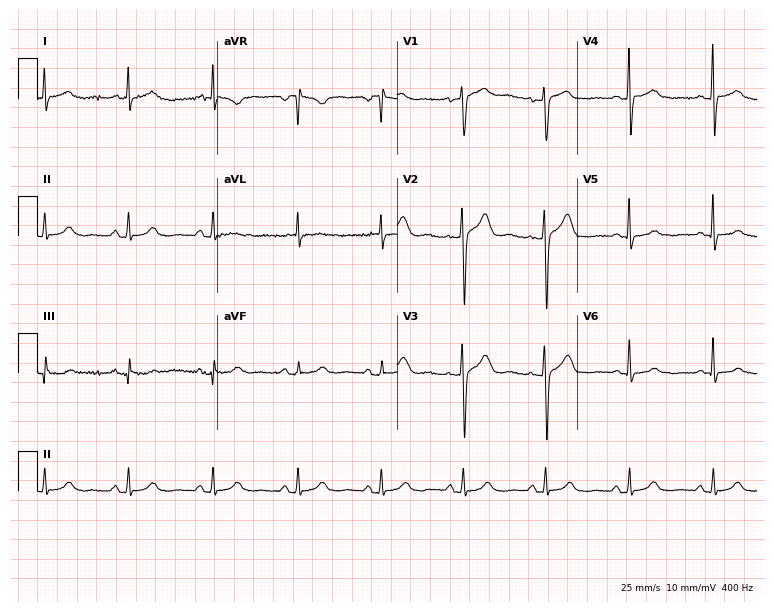
Resting 12-lead electrocardiogram (7.3-second recording at 400 Hz). Patient: a 63-year-old male. Read as a normal ECG.